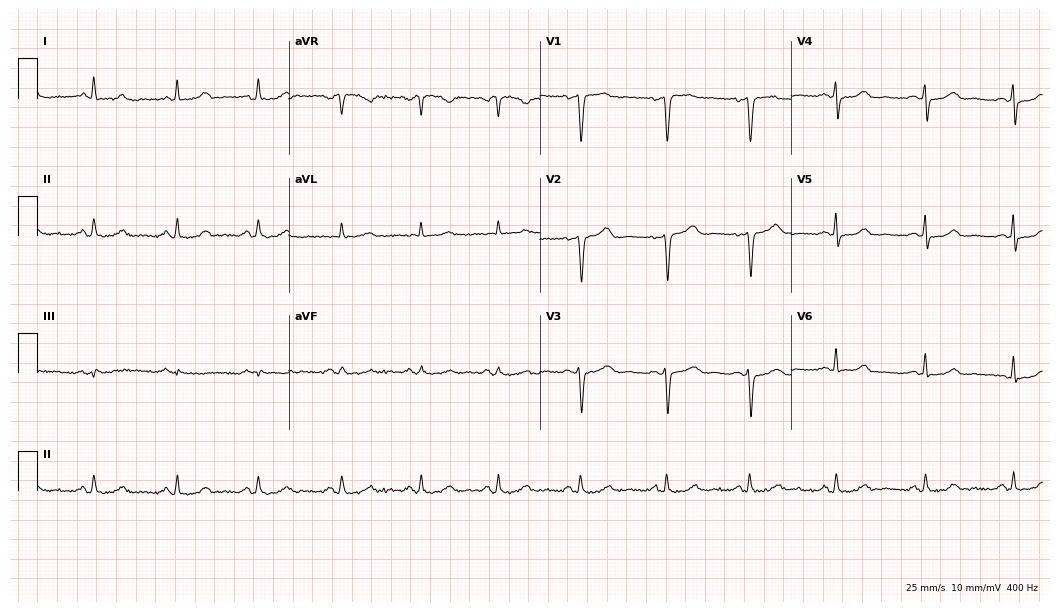
12-lead ECG from a 26-year-old female patient. Recorded interpretation: within normal limits.